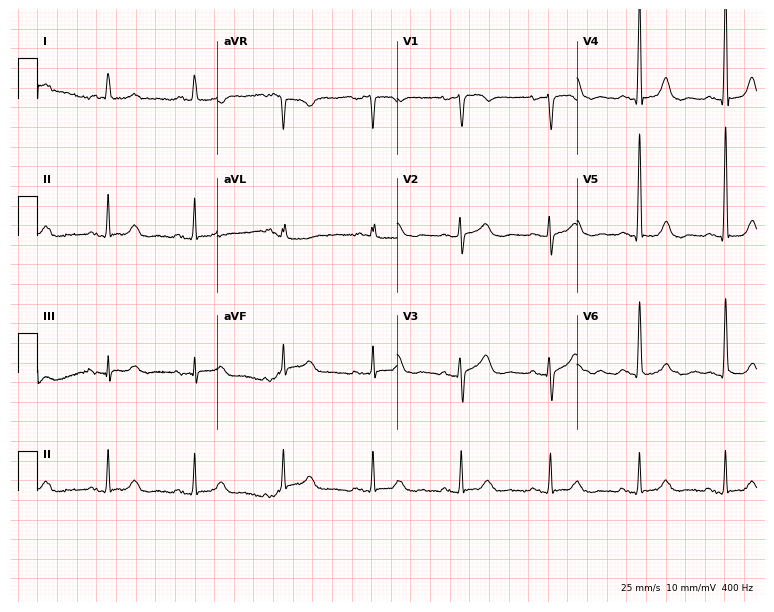
12-lead ECG (7.3-second recording at 400 Hz) from a female, 64 years old. Screened for six findings — first-degree AV block, right bundle branch block (RBBB), left bundle branch block (LBBB), sinus bradycardia, atrial fibrillation (AF), sinus tachycardia — none is recorded. Other findings, if any, are not listed.